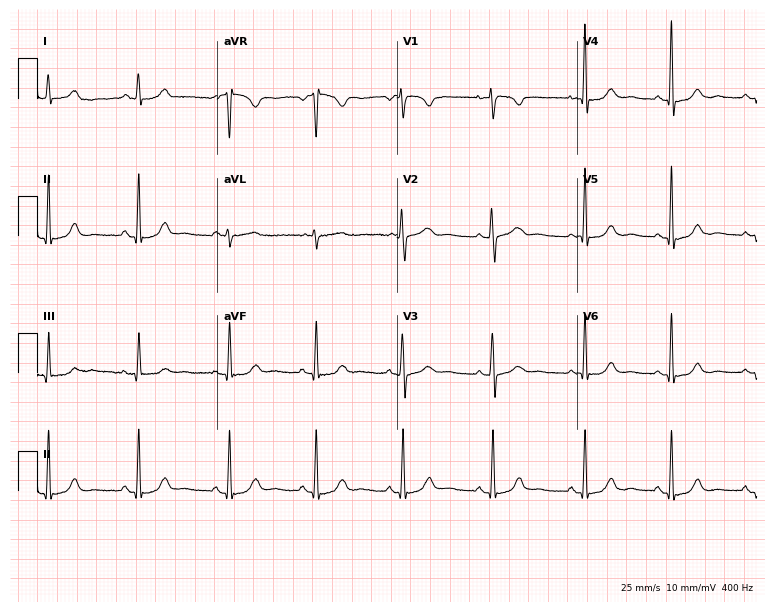
Electrocardiogram, a 59-year-old female patient. Overall reading on record: normal ECG.